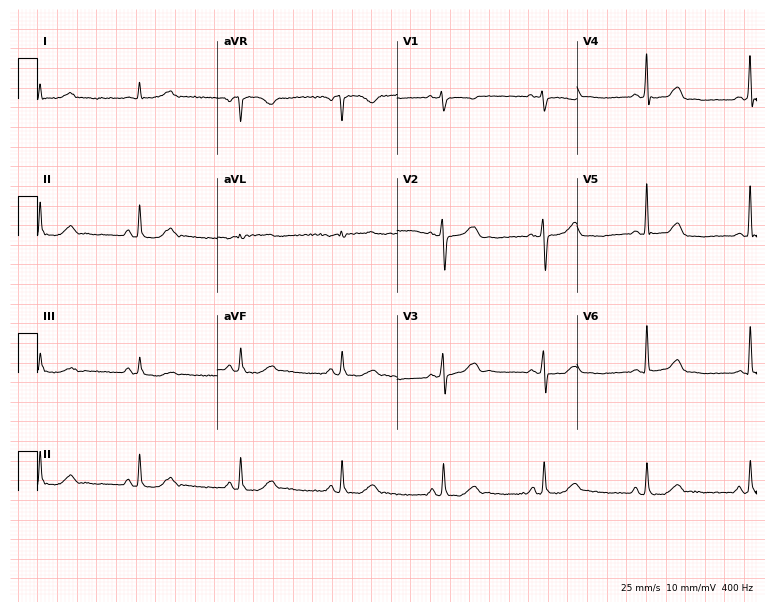
12-lead ECG from a man, 63 years old. No first-degree AV block, right bundle branch block, left bundle branch block, sinus bradycardia, atrial fibrillation or sinus tachycardia recorded for this tracing.